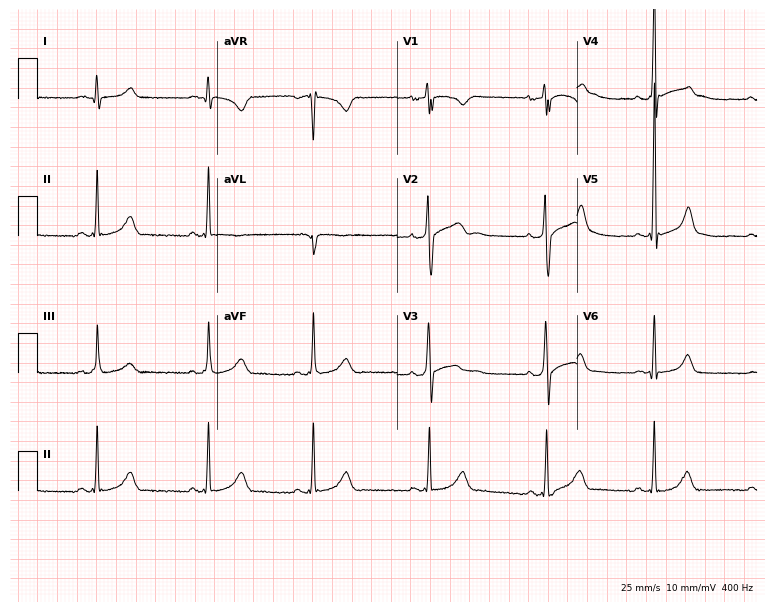
12-lead ECG from a 35-year-old man. Labelled as a normal ECG.